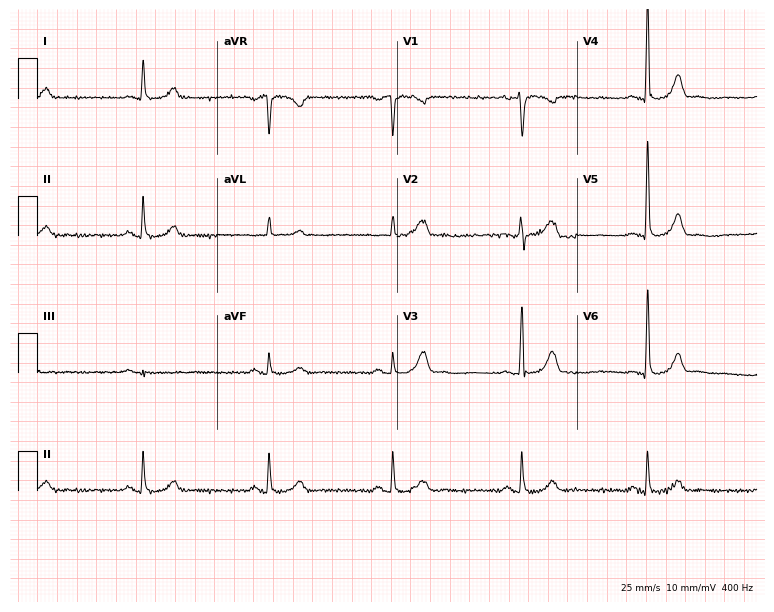
Electrocardiogram, a 53-year-old male. Interpretation includes sinus bradycardia (a sinus rate of 50 beats per minute or less).